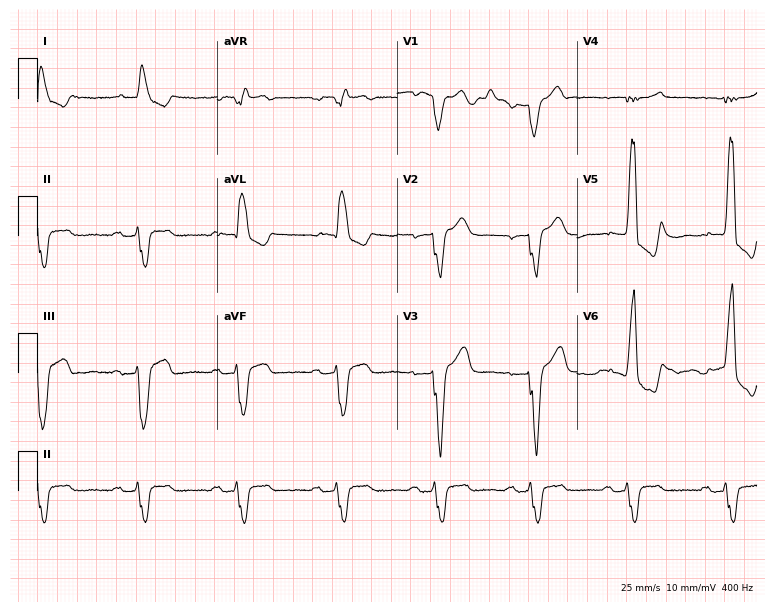
12-lead ECG from a 77-year-old male. Shows first-degree AV block, left bundle branch block.